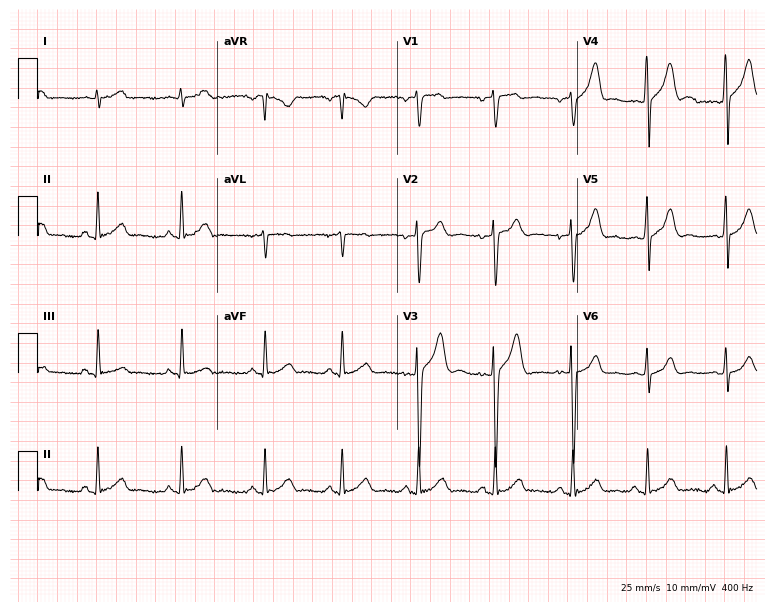
ECG (7.3-second recording at 400 Hz) — a male, 17 years old. Labelled as a normal ECG.